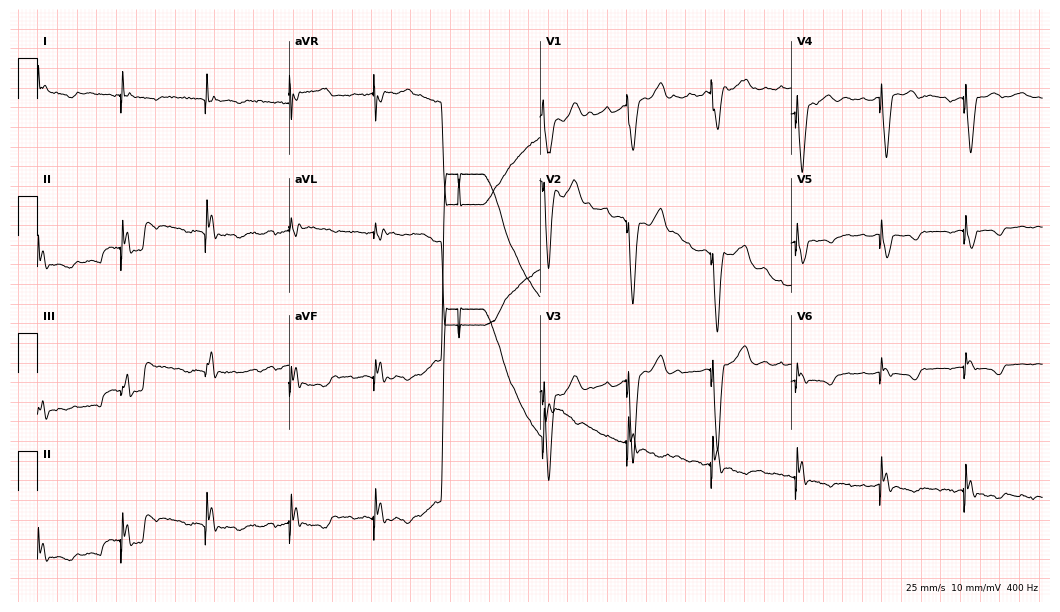
ECG — a 62-year-old woman. Screened for six findings — first-degree AV block, right bundle branch block, left bundle branch block, sinus bradycardia, atrial fibrillation, sinus tachycardia — none is recorded.